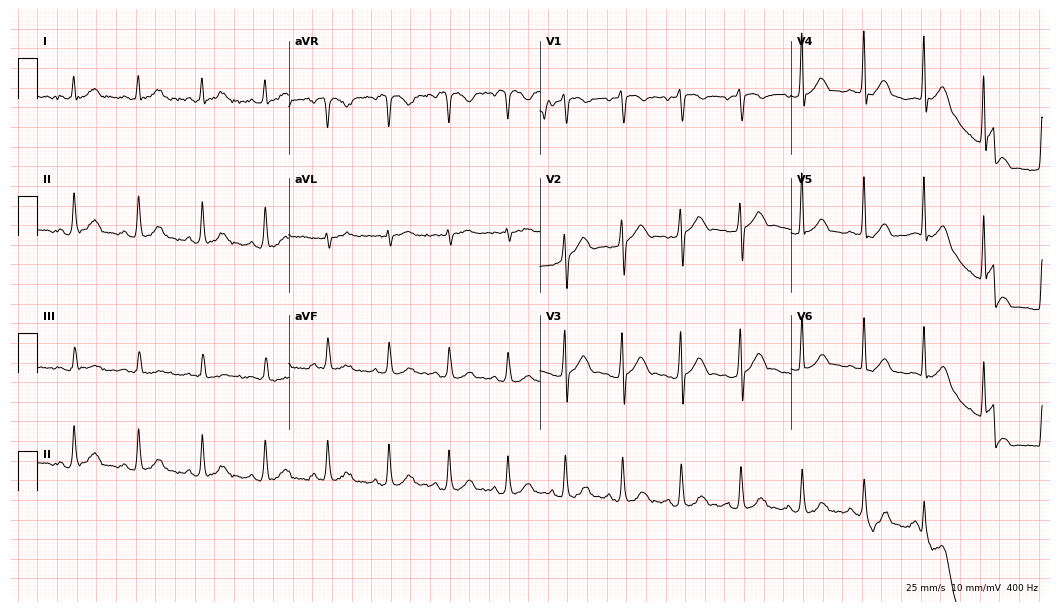
Resting 12-lead electrocardiogram (10.2-second recording at 400 Hz). Patient: a man, 40 years old. None of these six findings is recorded: first-degree AV block, right bundle branch block, left bundle branch block, sinus bradycardia, atrial fibrillation, sinus tachycardia.